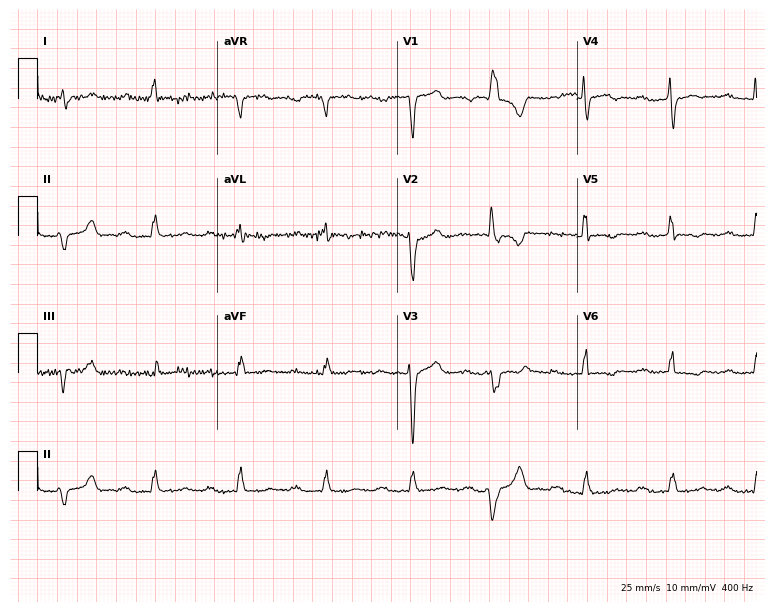
Resting 12-lead electrocardiogram (7.3-second recording at 400 Hz). Patient: a 75-year-old male. The tracing shows first-degree AV block.